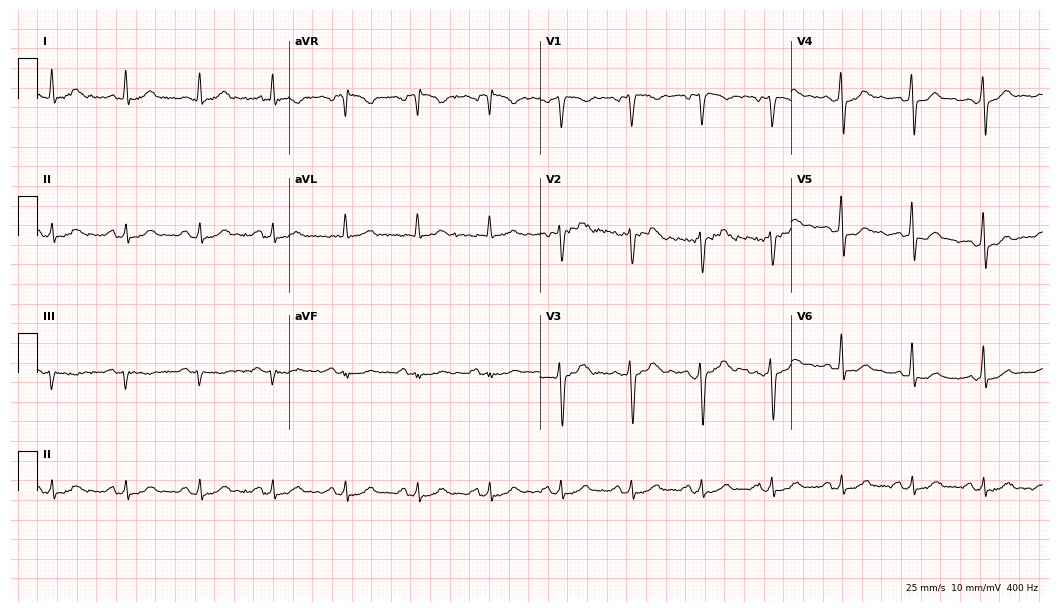
Resting 12-lead electrocardiogram (10.2-second recording at 400 Hz). Patient: a 48-year-old male. None of these six findings is recorded: first-degree AV block, right bundle branch block (RBBB), left bundle branch block (LBBB), sinus bradycardia, atrial fibrillation (AF), sinus tachycardia. Other findings, if any, are not listed.